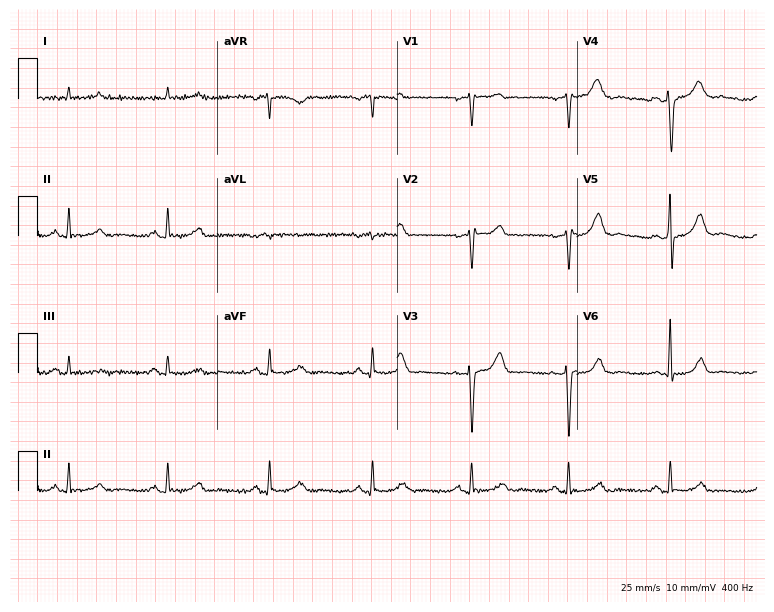
Electrocardiogram (7.3-second recording at 400 Hz), a 47-year-old male. Of the six screened findings (first-degree AV block, right bundle branch block, left bundle branch block, sinus bradycardia, atrial fibrillation, sinus tachycardia), none is recorded.